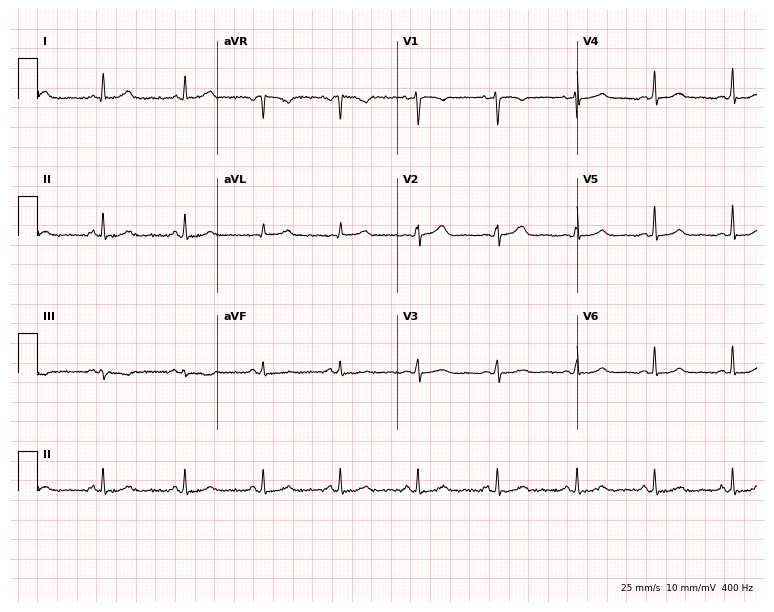
Resting 12-lead electrocardiogram. Patient: a woman, 39 years old. Read as a normal ECG.